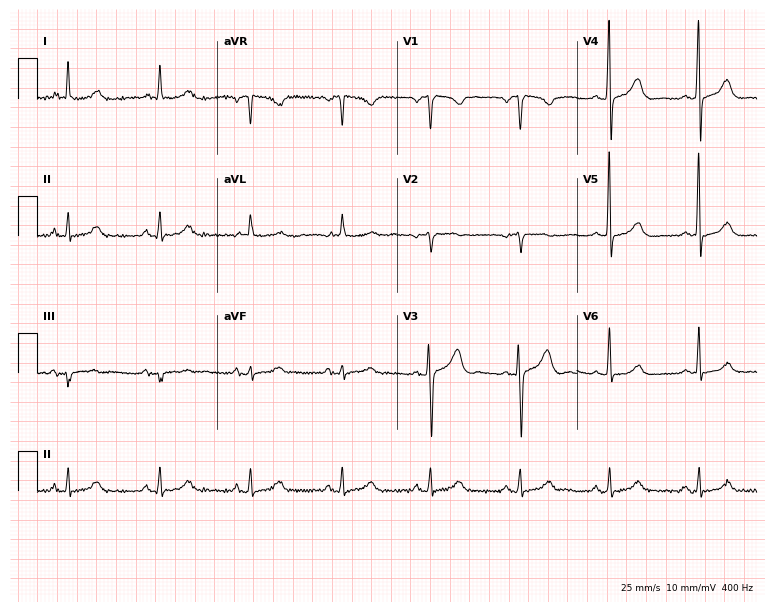
Resting 12-lead electrocardiogram (7.3-second recording at 400 Hz). Patient: a male, 78 years old. None of these six findings is recorded: first-degree AV block, right bundle branch block, left bundle branch block, sinus bradycardia, atrial fibrillation, sinus tachycardia.